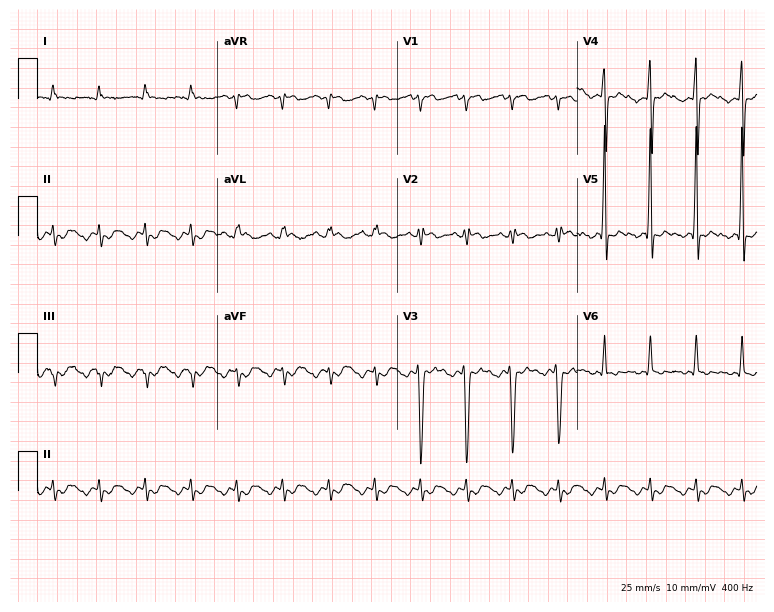
12-lead ECG from a man, 75 years old. No first-degree AV block, right bundle branch block, left bundle branch block, sinus bradycardia, atrial fibrillation or sinus tachycardia recorded for this tracing.